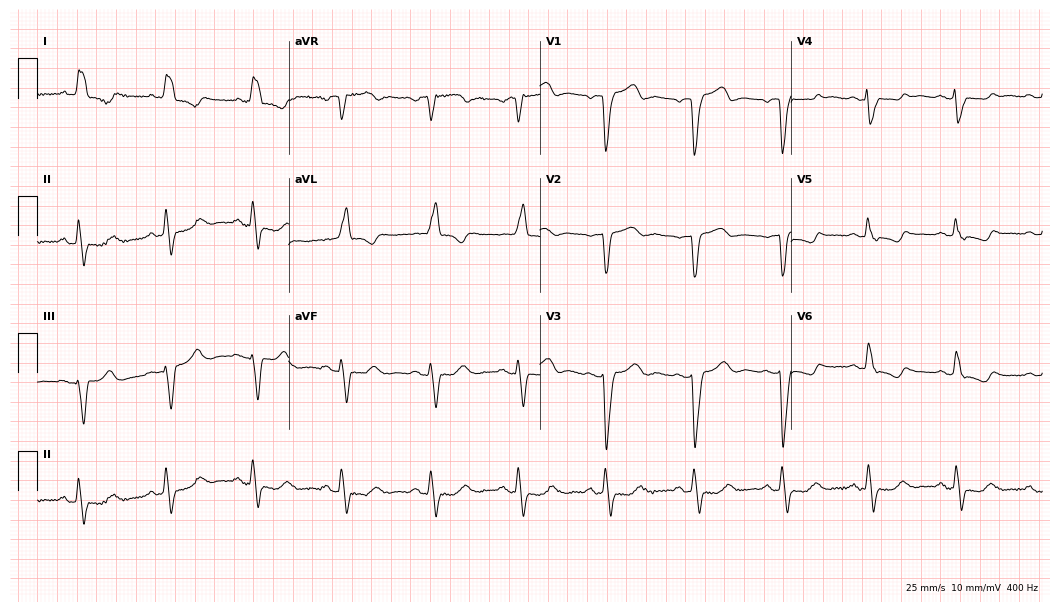
12-lead ECG from a woman, 72 years old. Shows left bundle branch block (LBBB).